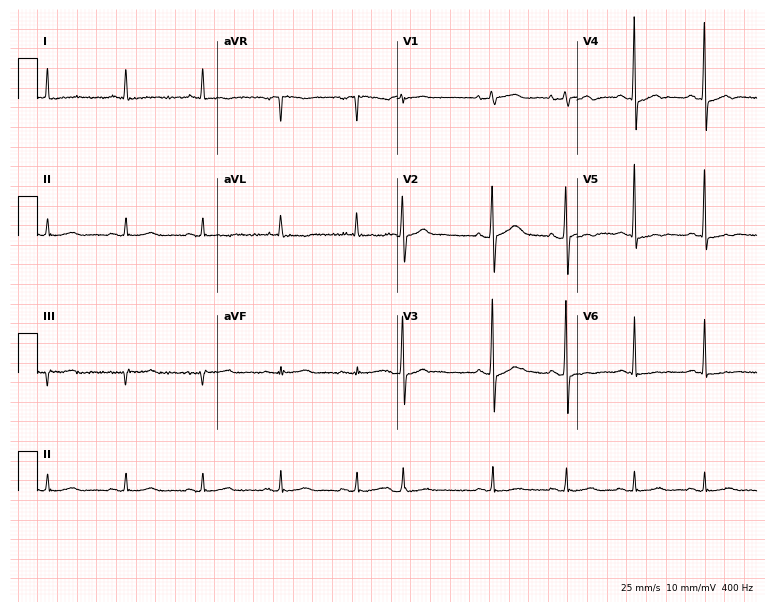
Electrocardiogram, a 74-year-old female. Of the six screened findings (first-degree AV block, right bundle branch block, left bundle branch block, sinus bradycardia, atrial fibrillation, sinus tachycardia), none is recorded. Only these six findings were labelled.